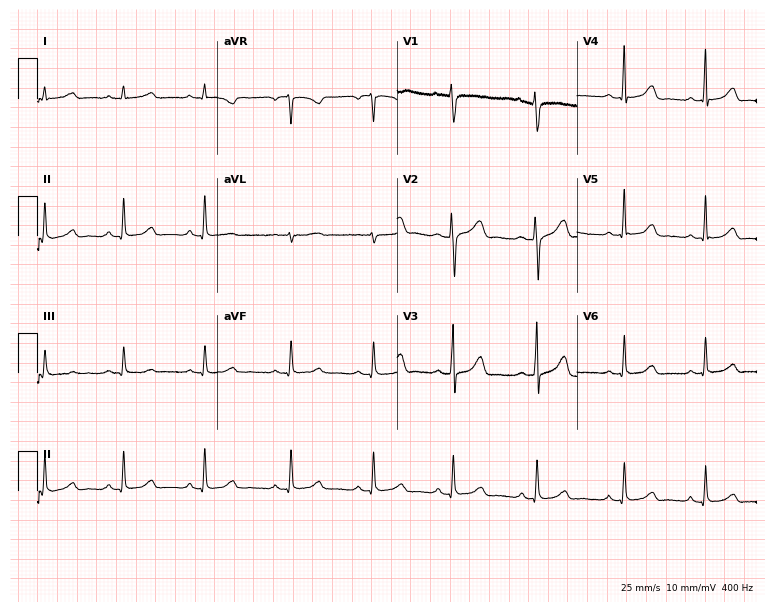
12-lead ECG from a 34-year-old female patient. Recorded interpretation: within normal limits.